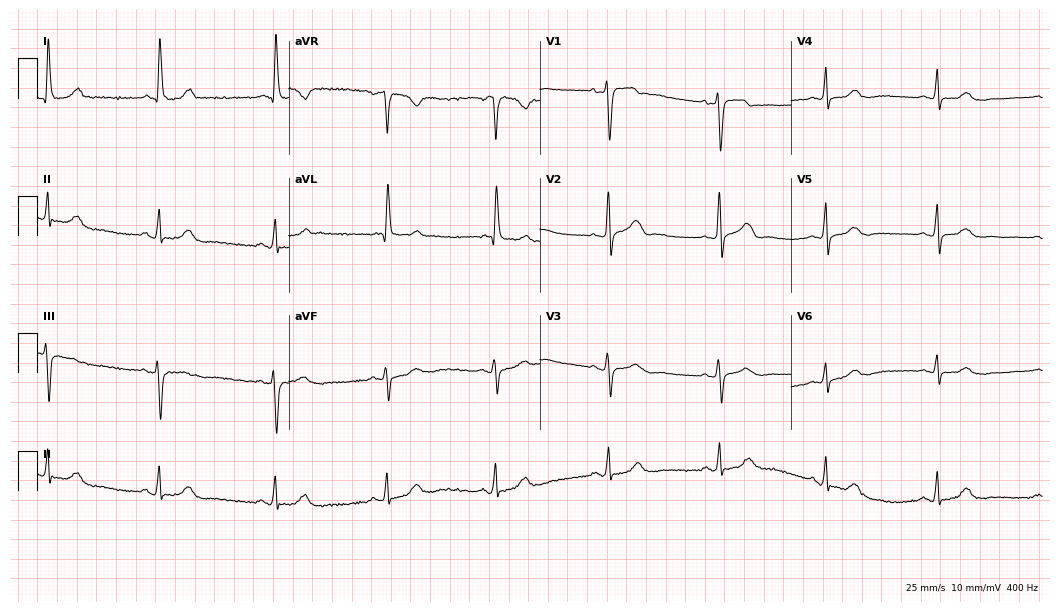
Resting 12-lead electrocardiogram. Patient: a 58-year-old female. None of these six findings is recorded: first-degree AV block, right bundle branch block (RBBB), left bundle branch block (LBBB), sinus bradycardia, atrial fibrillation (AF), sinus tachycardia. Only these six findings were labelled.